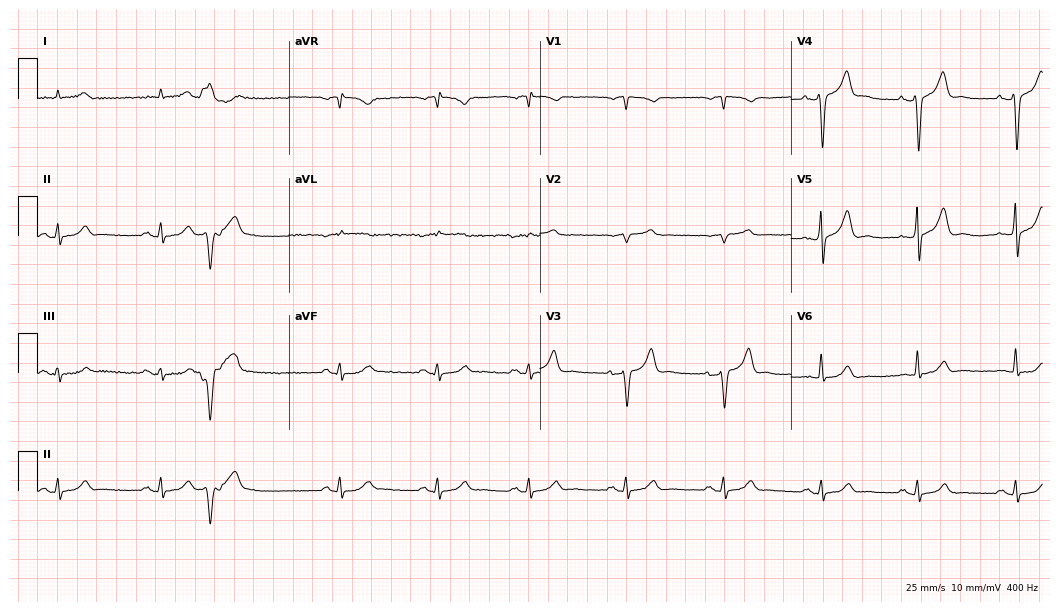
Resting 12-lead electrocardiogram (10.2-second recording at 400 Hz). Patient: a 53-year-old male. Read as a normal ECG.